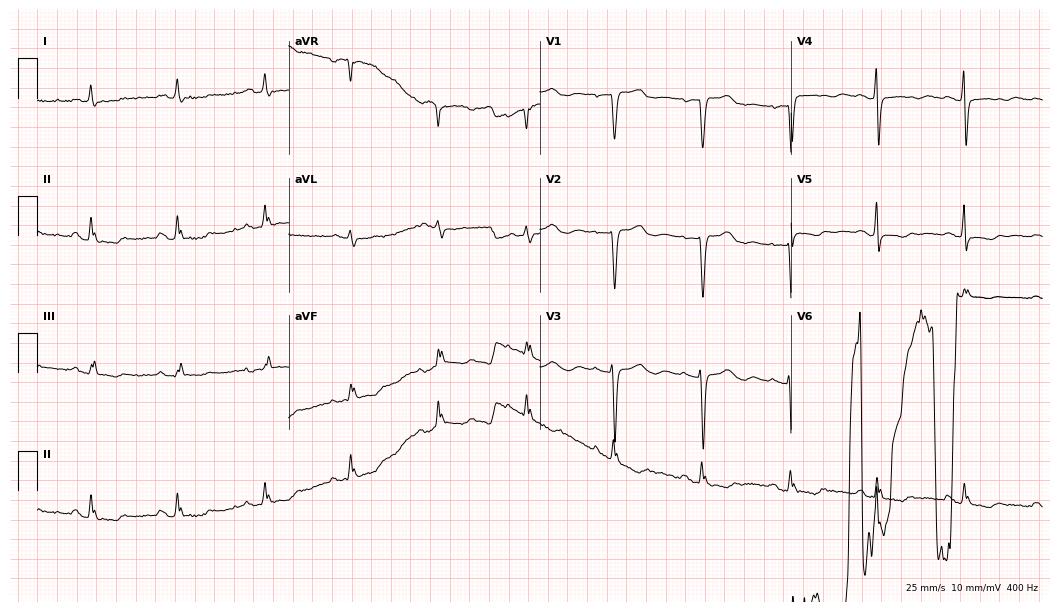
Standard 12-lead ECG recorded from a 74-year-old woman (10.2-second recording at 400 Hz). None of these six findings is recorded: first-degree AV block, right bundle branch block, left bundle branch block, sinus bradycardia, atrial fibrillation, sinus tachycardia. Only these six findings were labelled.